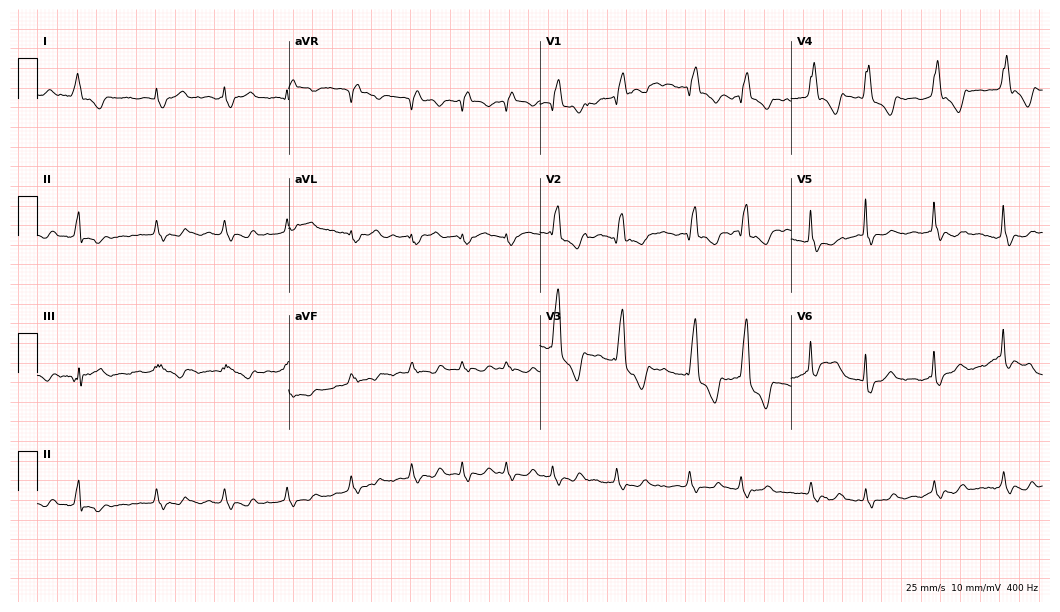
Standard 12-lead ECG recorded from a female patient, 63 years old. The tracing shows right bundle branch block, atrial fibrillation.